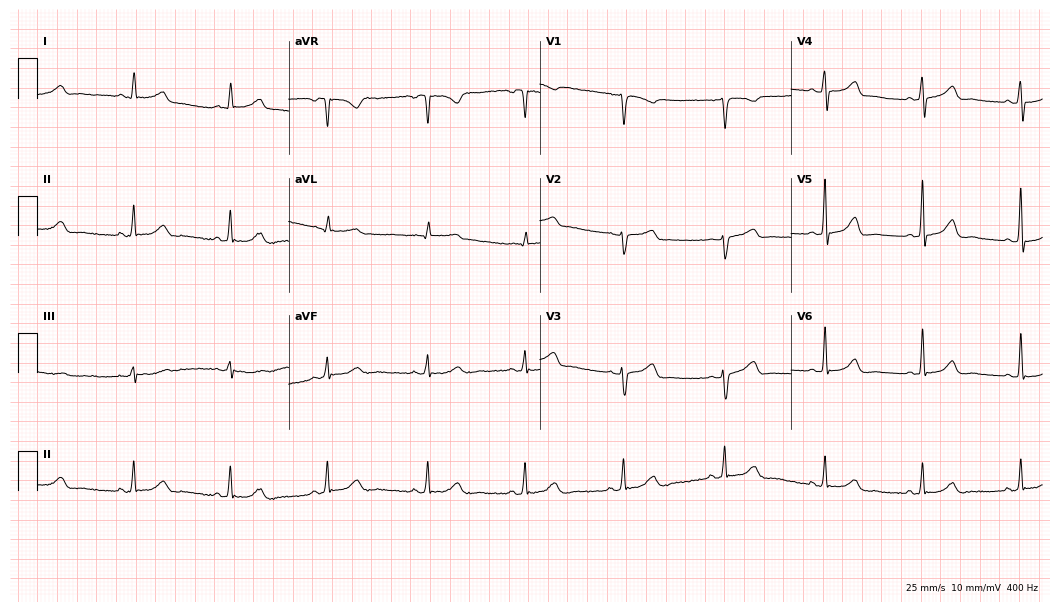
ECG — a 55-year-old female patient. Labelled as a normal ECG.